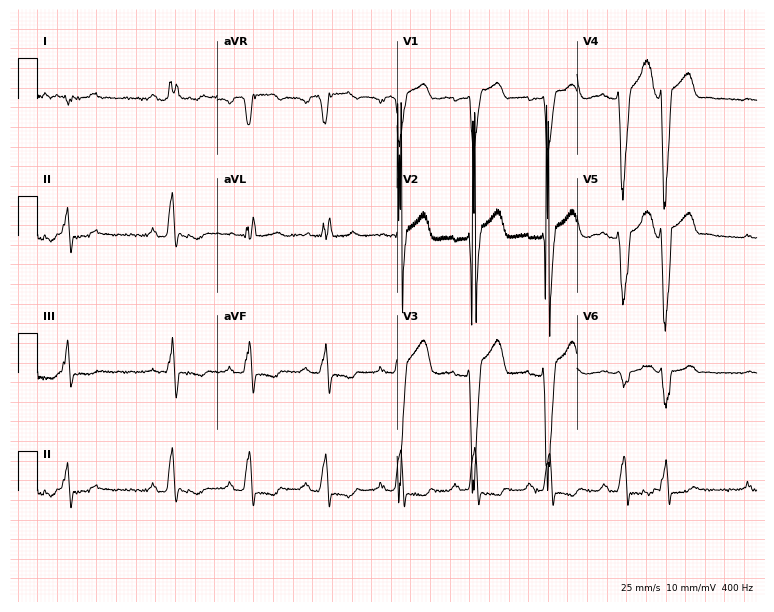
ECG (7.3-second recording at 400 Hz) — a 49-year-old female patient. Findings include left bundle branch block.